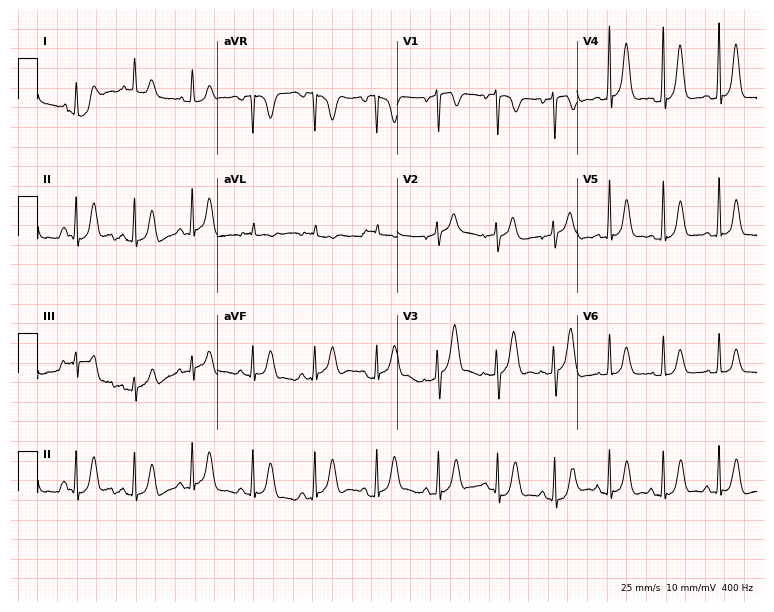
12-lead ECG from a woman, 35 years old. Screened for six findings — first-degree AV block, right bundle branch block, left bundle branch block, sinus bradycardia, atrial fibrillation, sinus tachycardia — none is recorded.